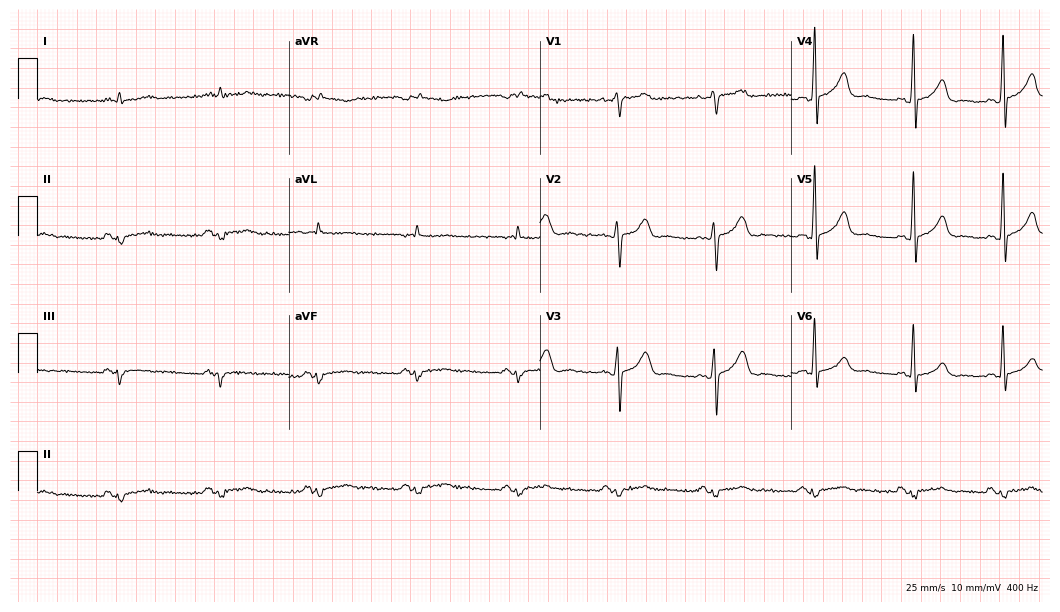
12-lead ECG from a 28-year-old man. No first-degree AV block, right bundle branch block, left bundle branch block, sinus bradycardia, atrial fibrillation or sinus tachycardia recorded for this tracing.